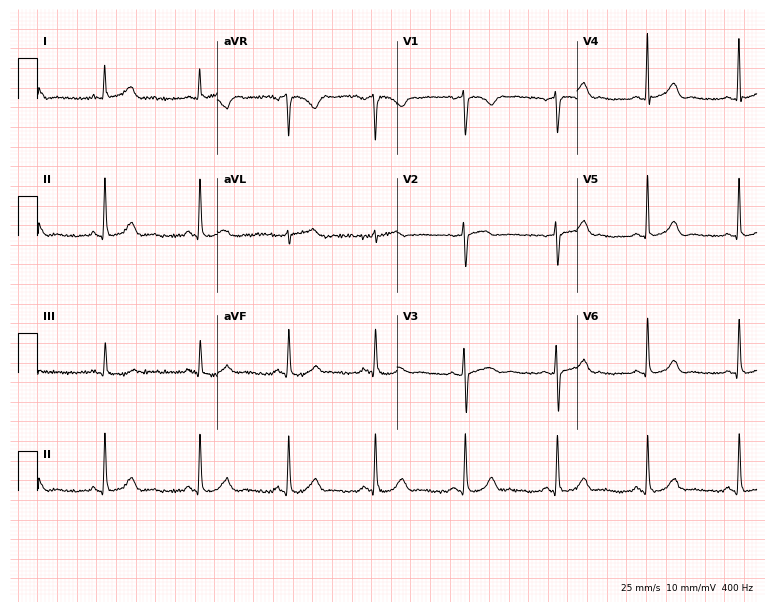
12-lead ECG from a 35-year-old female patient. Screened for six findings — first-degree AV block, right bundle branch block, left bundle branch block, sinus bradycardia, atrial fibrillation, sinus tachycardia — none is recorded.